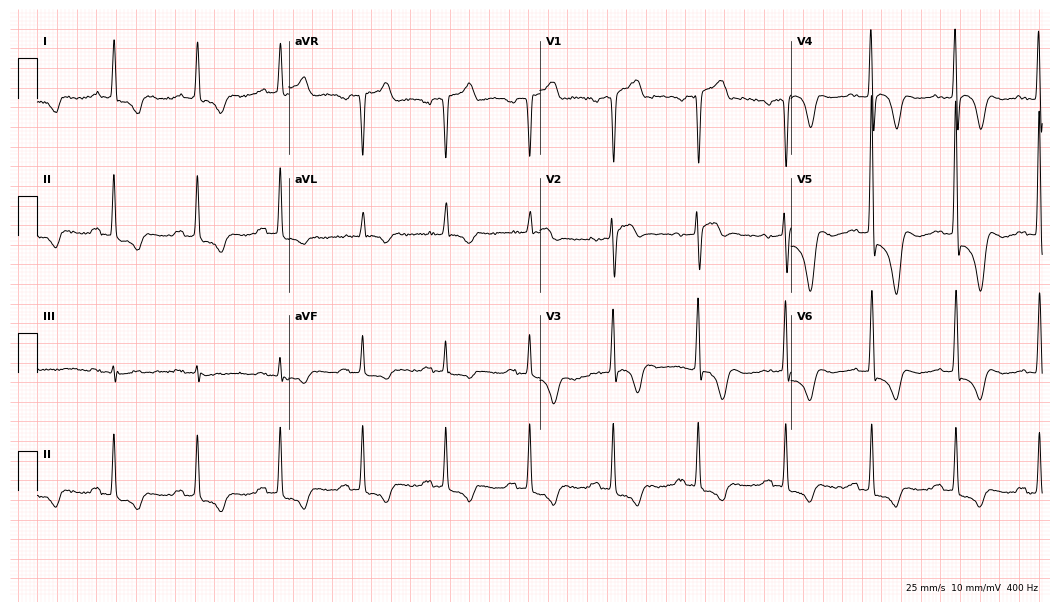
12-lead ECG (10.2-second recording at 400 Hz) from a female, 64 years old. Screened for six findings — first-degree AV block, right bundle branch block, left bundle branch block, sinus bradycardia, atrial fibrillation, sinus tachycardia — none is recorded. Other findings, if any, are not listed.